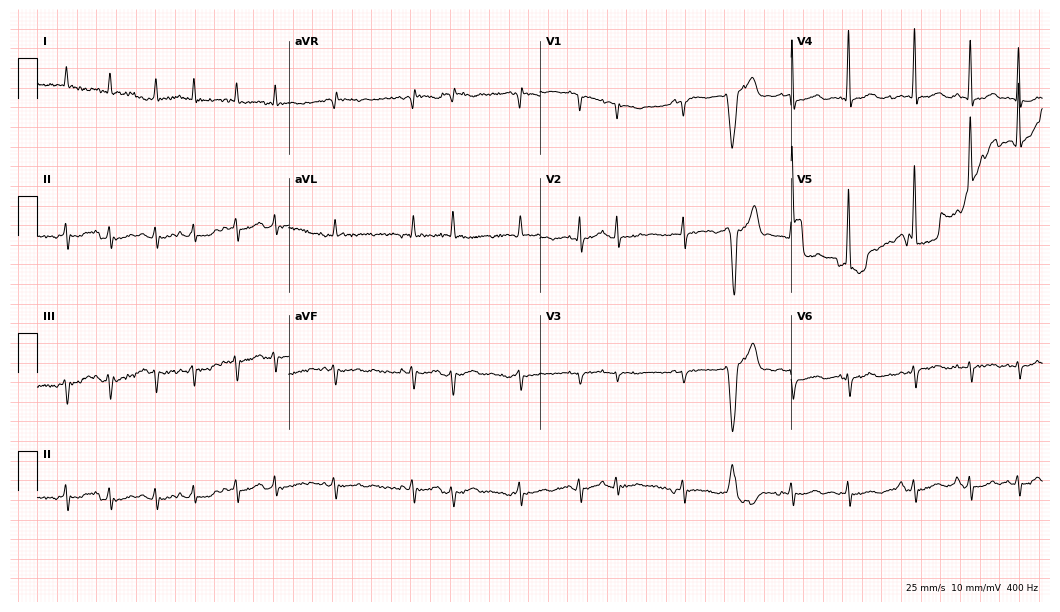
Standard 12-lead ECG recorded from an 80-year-old male patient. None of these six findings is recorded: first-degree AV block, right bundle branch block, left bundle branch block, sinus bradycardia, atrial fibrillation, sinus tachycardia.